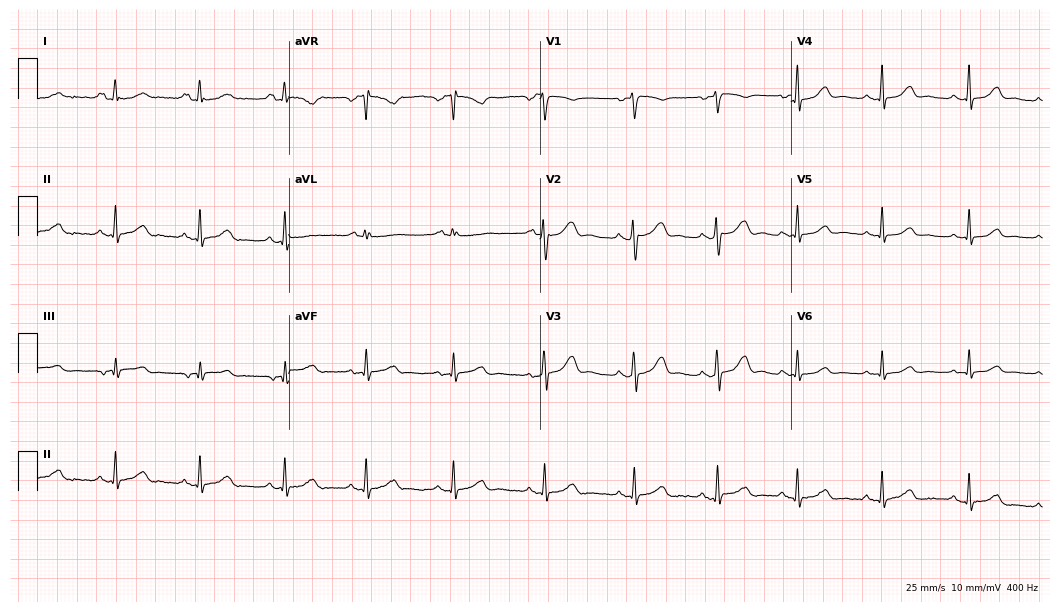
Electrocardiogram (10.2-second recording at 400 Hz), a female, 47 years old. Of the six screened findings (first-degree AV block, right bundle branch block, left bundle branch block, sinus bradycardia, atrial fibrillation, sinus tachycardia), none is recorded. Only these six findings were labelled.